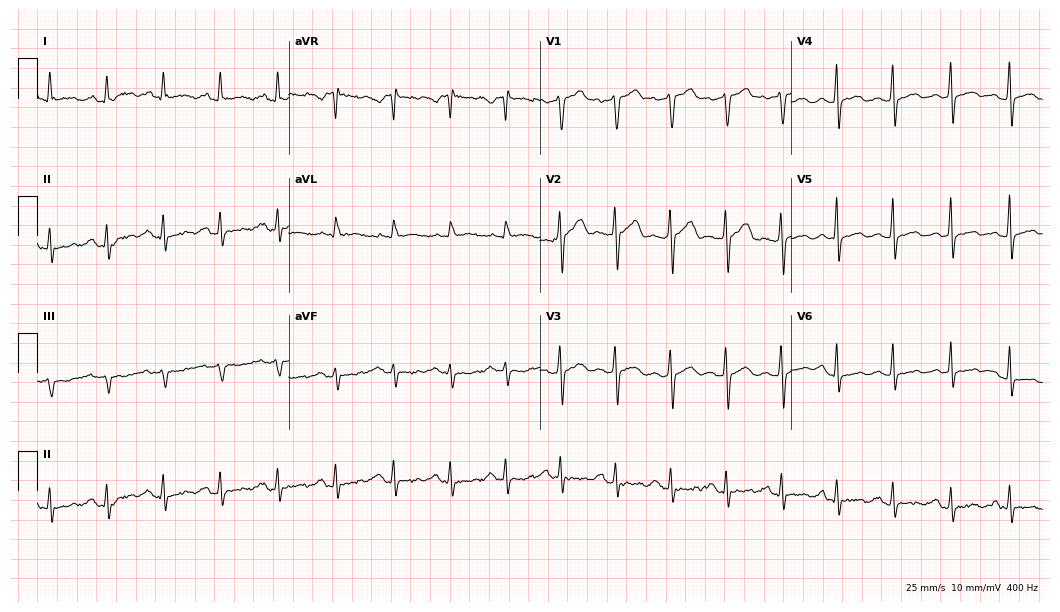
Standard 12-lead ECG recorded from a 37-year-old male patient (10.2-second recording at 400 Hz). Read as a normal ECG.